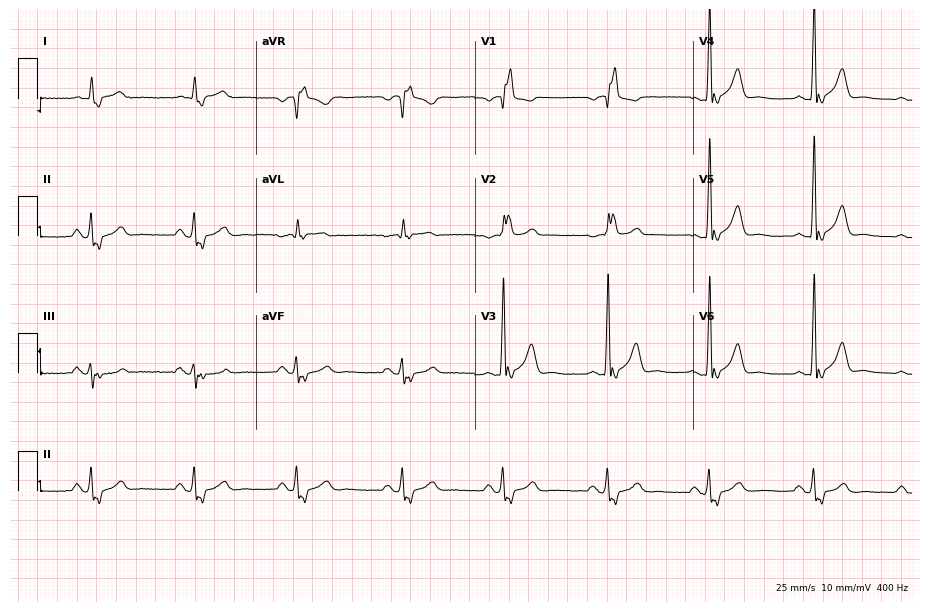
12-lead ECG from a male patient, 83 years old (8.9-second recording at 400 Hz). Shows right bundle branch block (RBBB).